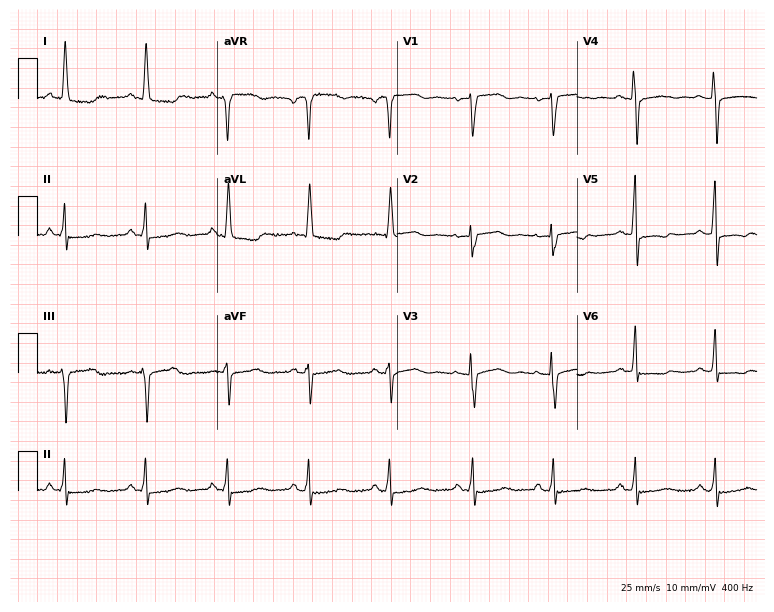
12-lead ECG from a 54-year-old female. Screened for six findings — first-degree AV block, right bundle branch block, left bundle branch block, sinus bradycardia, atrial fibrillation, sinus tachycardia — none is recorded. Only these six findings were labelled.